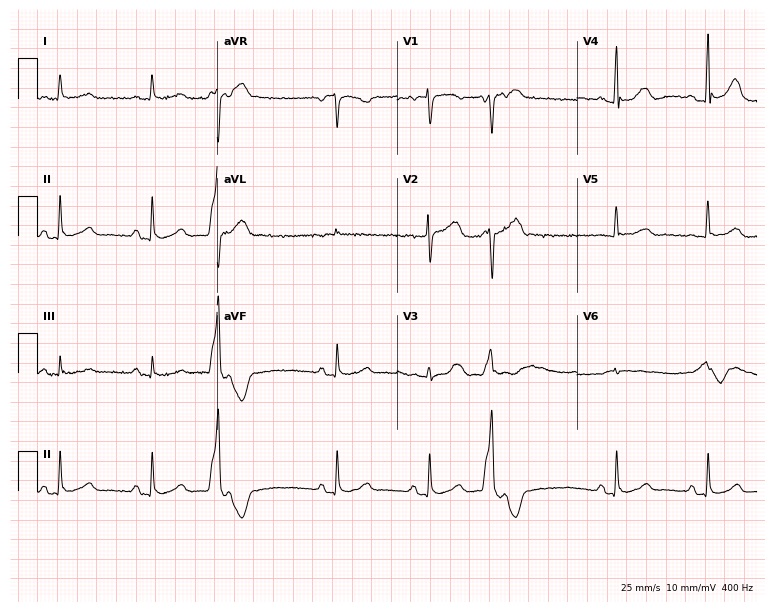
ECG — a male patient, 83 years old. Screened for six findings — first-degree AV block, right bundle branch block, left bundle branch block, sinus bradycardia, atrial fibrillation, sinus tachycardia — none is recorded. Only these six findings were labelled.